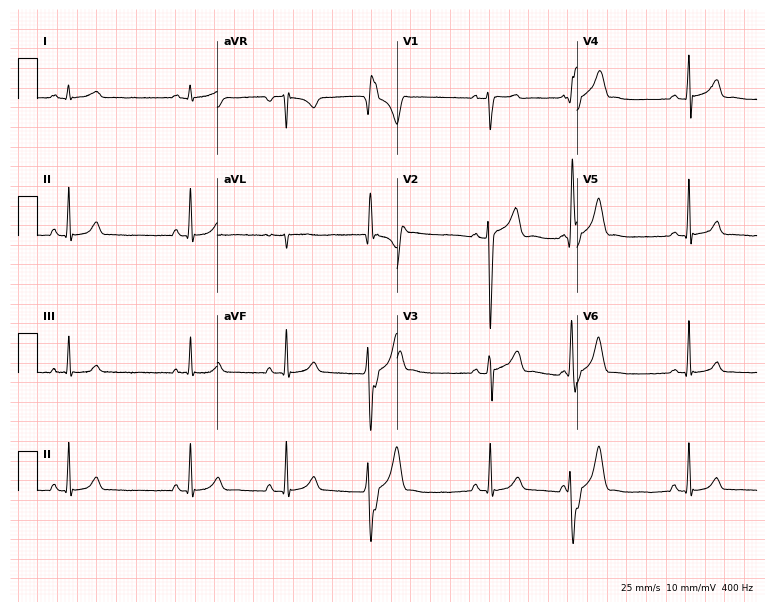
Electrocardiogram (7.3-second recording at 400 Hz), a male patient, 27 years old. Overall reading on record: normal ECG.